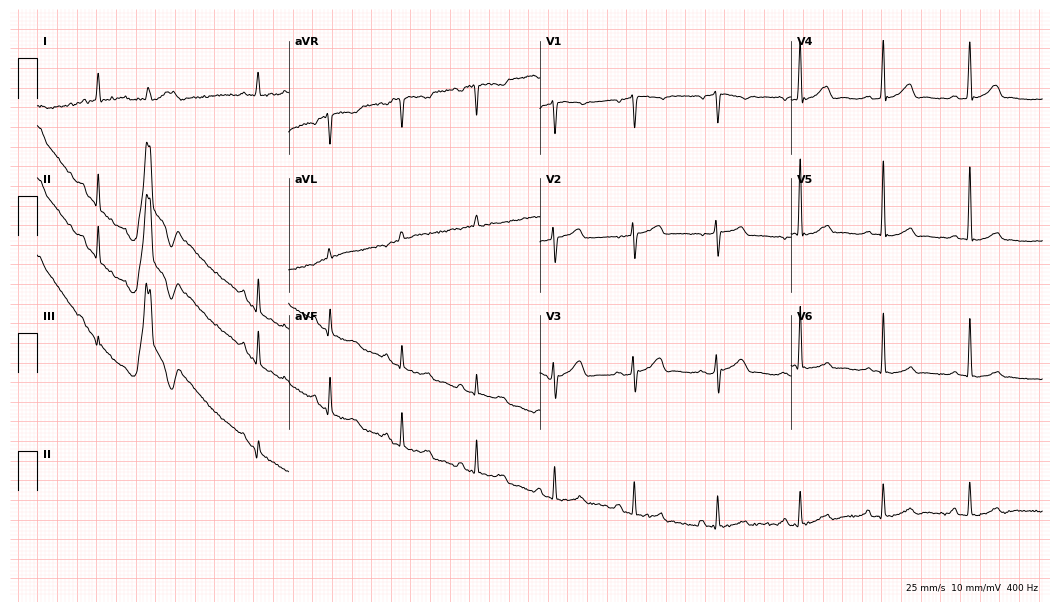
Resting 12-lead electrocardiogram (10.2-second recording at 400 Hz). Patient: a male, 50 years old. Read as a normal ECG.